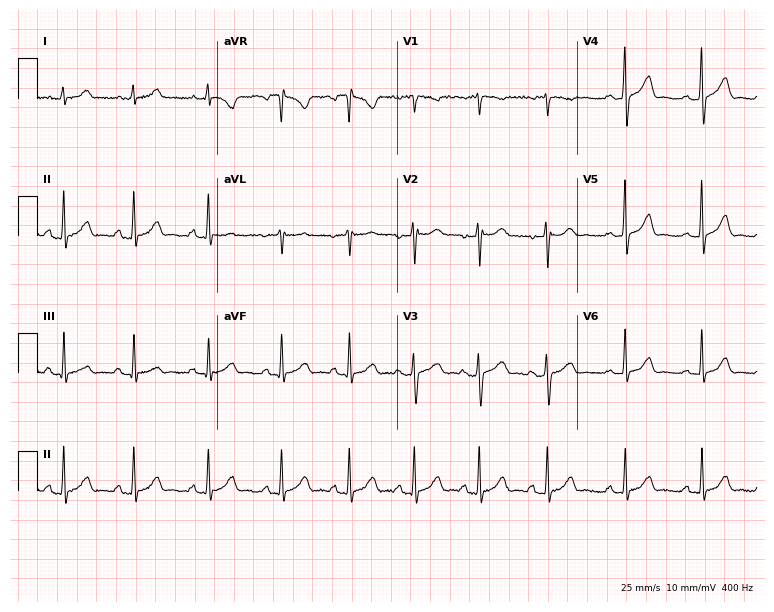
ECG (7.3-second recording at 400 Hz) — a 27-year-old woman. Labelled as a normal ECG.